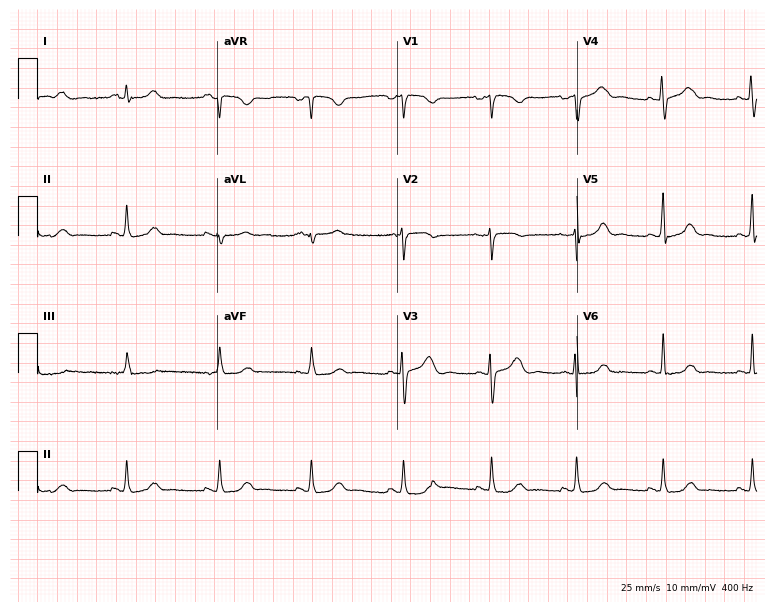
ECG (7.3-second recording at 400 Hz) — a 26-year-old female. Labelled as a normal ECG.